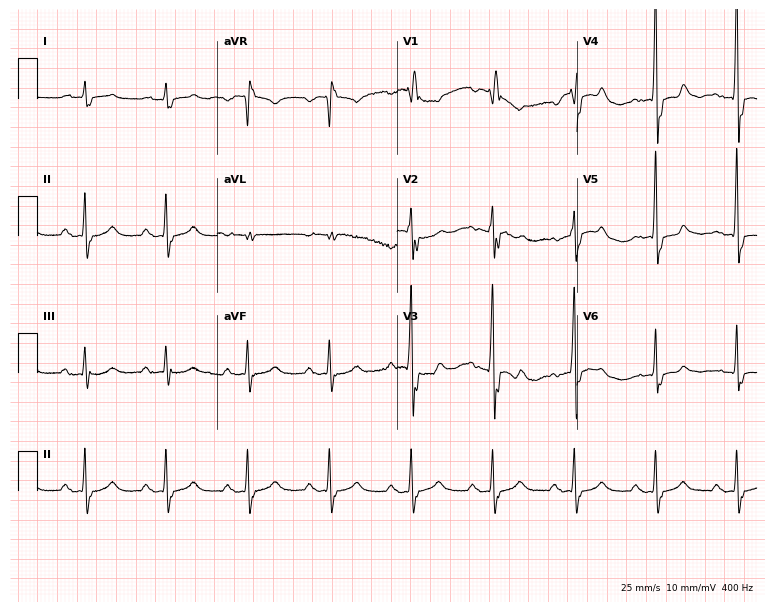
Standard 12-lead ECG recorded from a 76-year-old man. The tracing shows first-degree AV block, right bundle branch block (RBBB).